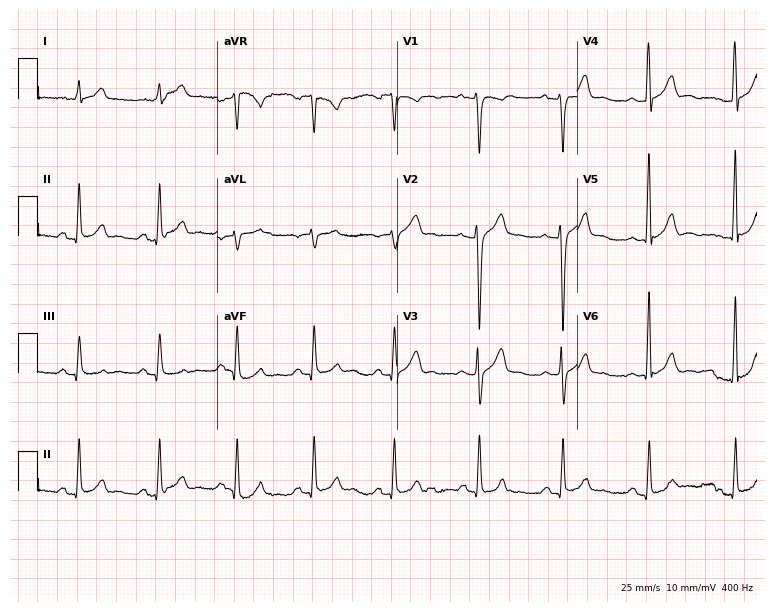
ECG — a 32-year-old male patient. Labelled as a normal ECG.